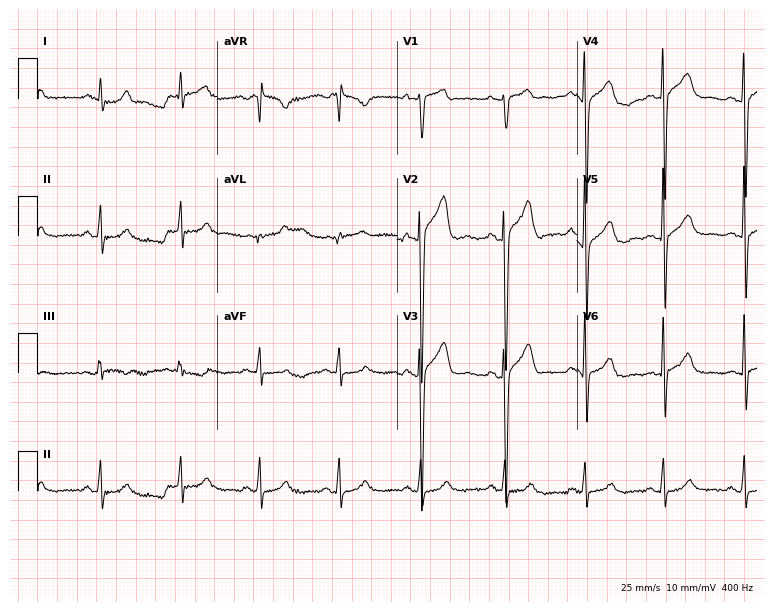
Standard 12-lead ECG recorded from a 55-year-old man. None of these six findings is recorded: first-degree AV block, right bundle branch block (RBBB), left bundle branch block (LBBB), sinus bradycardia, atrial fibrillation (AF), sinus tachycardia.